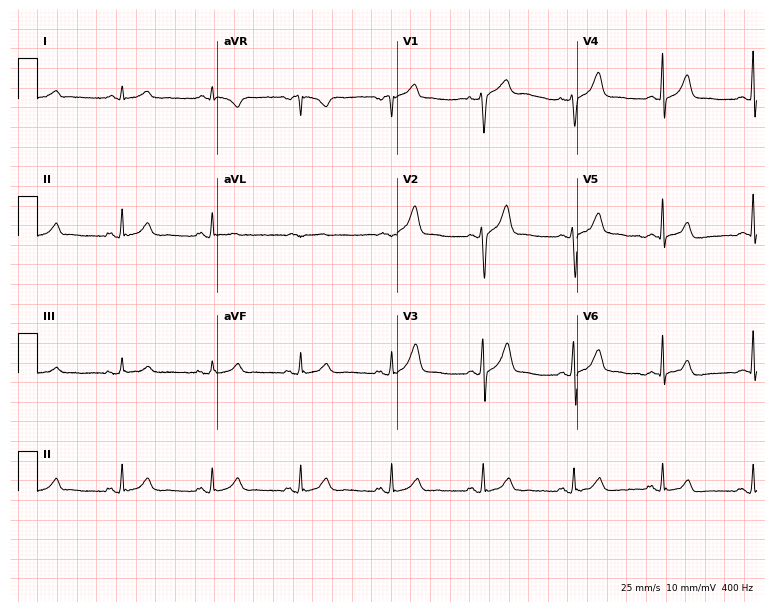
Resting 12-lead electrocardiogram (7.3-second recording at 400 Hz). Patient: a male, 60 years old. None of these six findings is recorded: first-degree AV block, right bundle branch block, left bundle branch block, sinus bradycardia, atrial fibrillation, sinus tachycardia. Only these six findings were labelled.